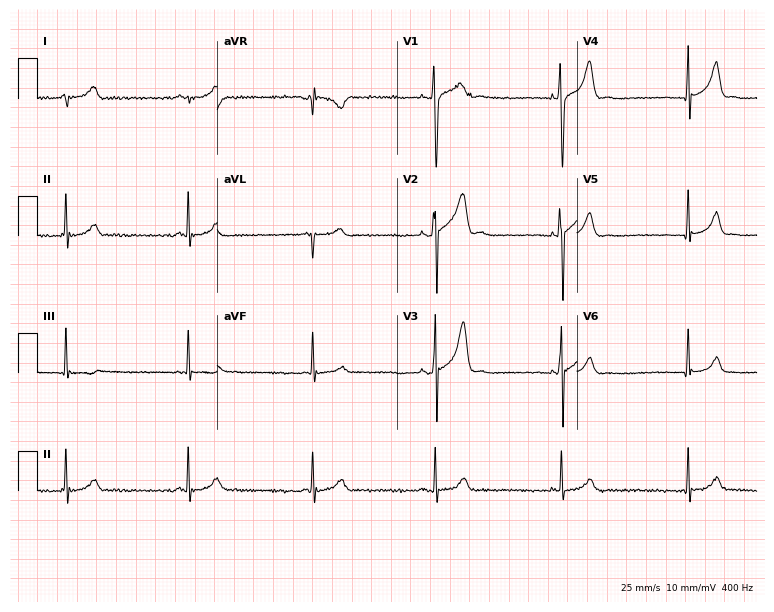
12-lead ECG from a 17-year-old male (7.3-second recording at 400 Hz). No first-degree AV block, right bundle branch block, left bundle branch block, sinus bradycardia, atrial fibrillation or sinus tachycardia recorded for this tracing. Only these six findings were labelled.